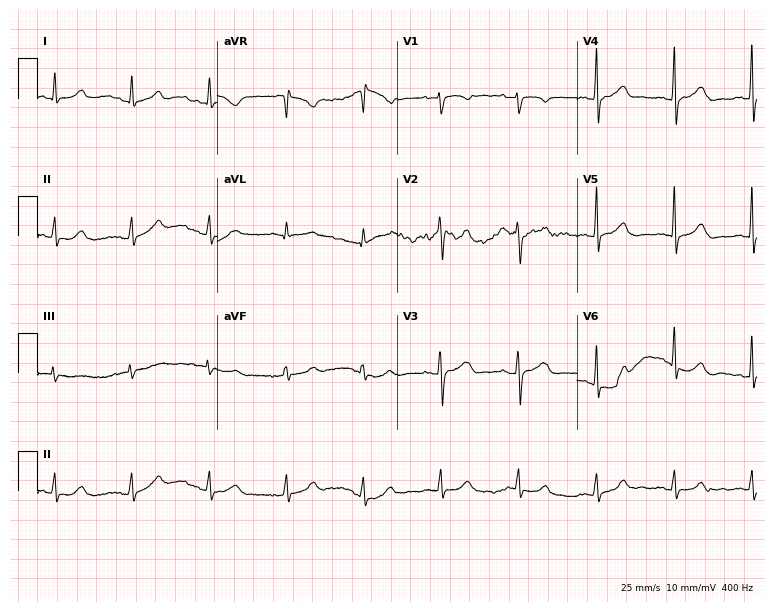
Electrocardiogram, a 54-year-old woman. Of the six screened findings (first-degree AV block, right bundle branch block (RBBB), left bundle branch block (LBBB), sinus bradycardia, atrial fibrillation (AF), sinus tachycardia), none is recorded. Only these six findings were labelled.